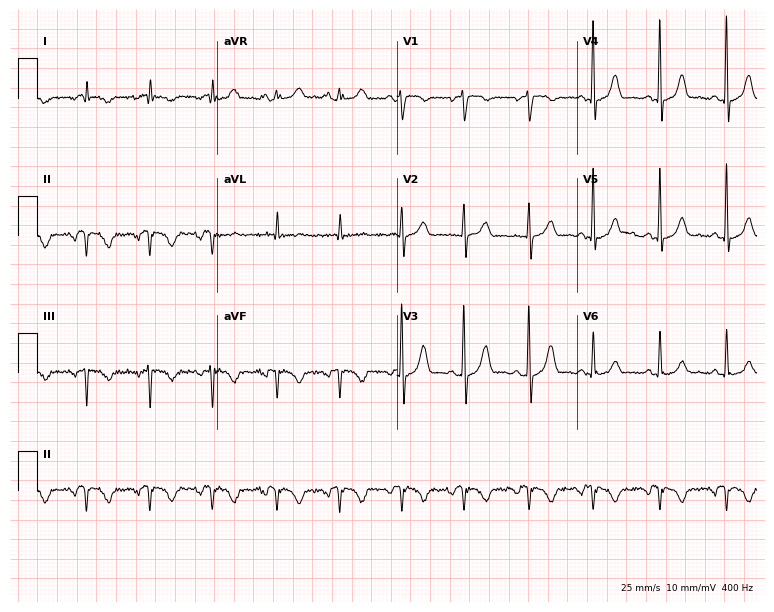
Standard 12-lead ECG recorded from a 70-year-old woman. None of these six findings is recorded: first-degree AV block, right bundle branch block, left bundle branch block, sinus bradycardia, atrial fibrillation, sinus tachycardia. Only these six findings were labelled.